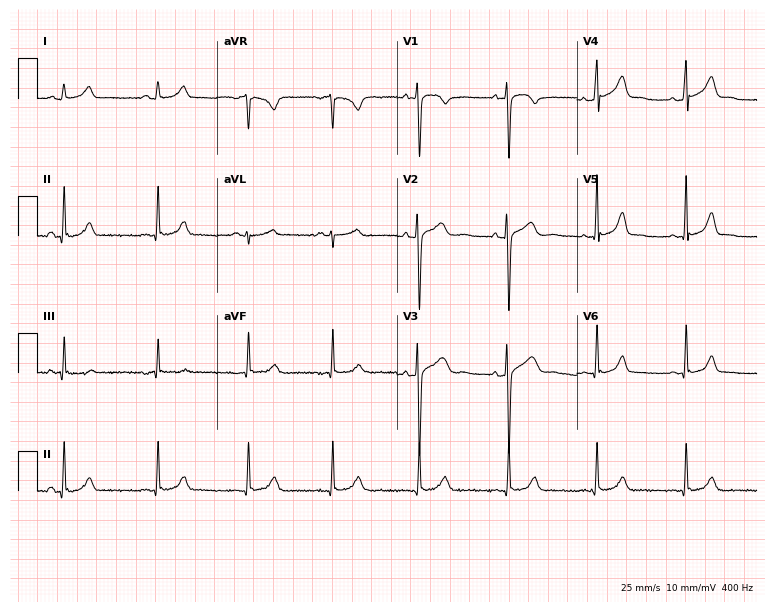
Standard 12-lead ECG recorded from a 21-year-old female (7.3-second recording at 400 Hz). Read as a normal ECG.